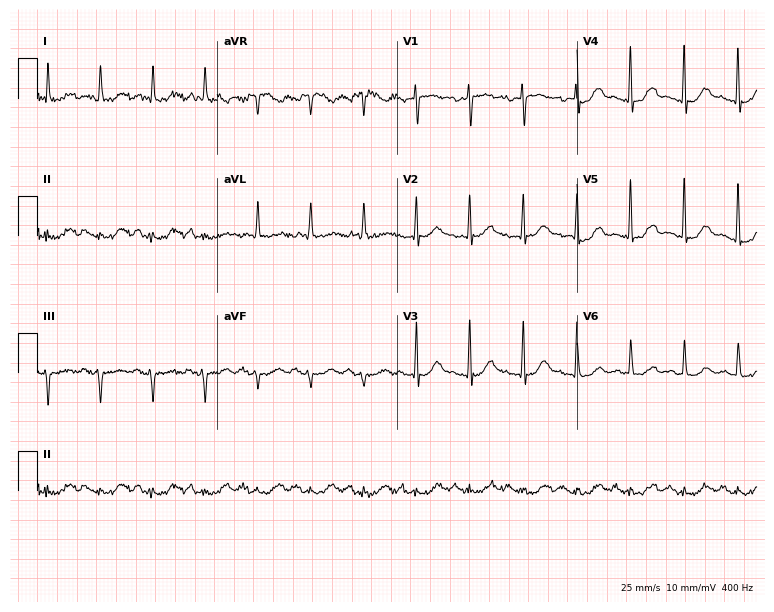
Resting 12-lead electrocardiogram (7.3-second recording at 400 Hz). Patient: a 64-year-old man. The tracing shows sinus tachycardia (a sinus rate of 100 beats per minute or more).